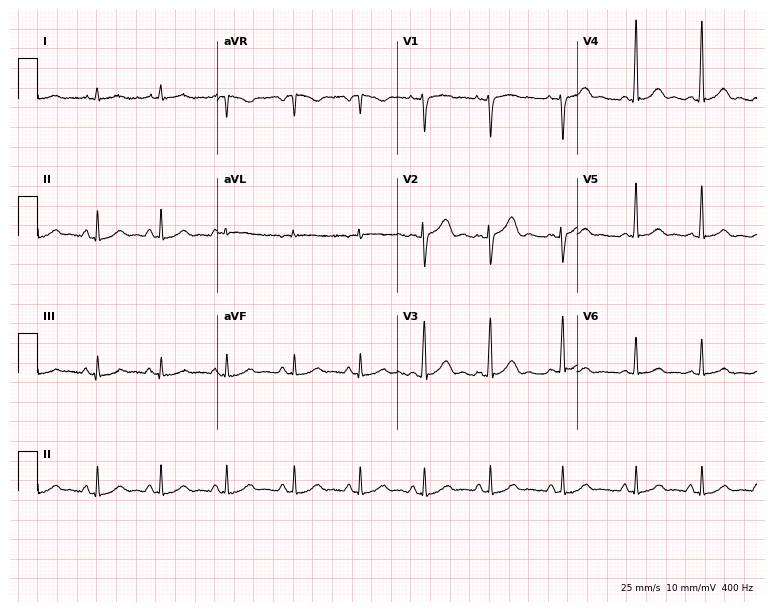
12-lead ECG from a 24-year-old female patient. Screened for six findings — first-degree AV block, right bundle branch block (RBBB), left bundle branch block (LBBB), sinus bradycardia, atrial fibrillation (AF), sinus tachycardia — none is recorded.